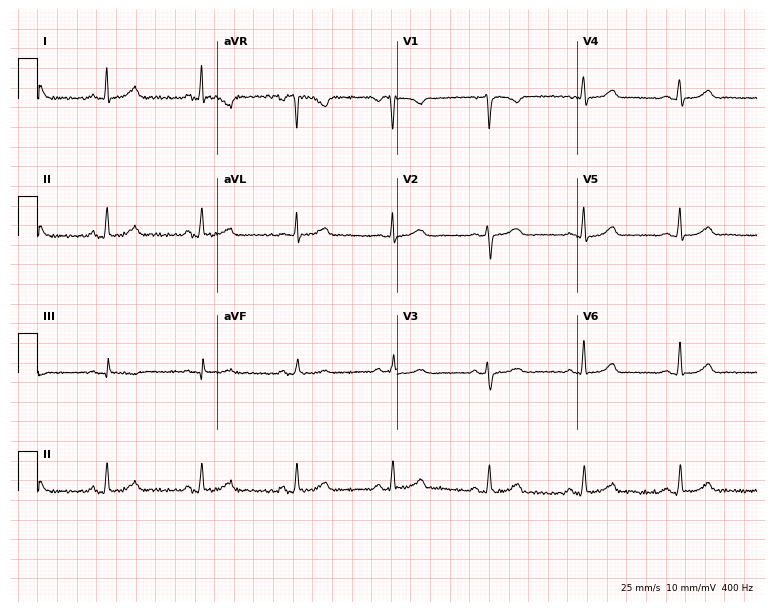
Resting 12-lead electrocardiogram. Patient: a 56-year-old female. Read as a normal ECG.